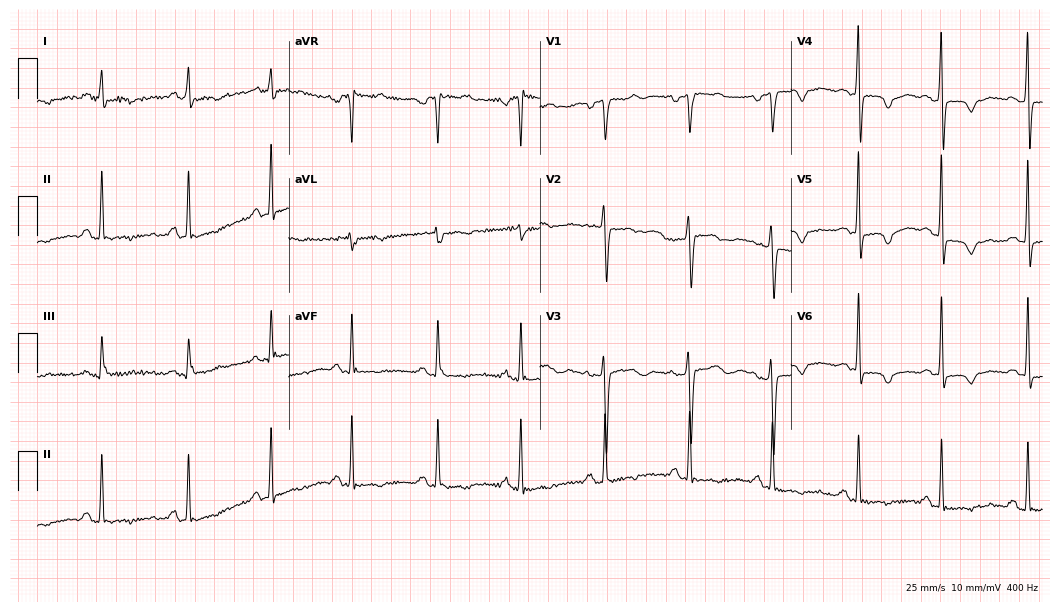
12-lead ECG from a woman, 67 years old. No first-degree AV block, right bundle branch block, left bundle branch block, sinus bradycardia, atrial fibrillation or sinus tachycardia recorded for this tracing.